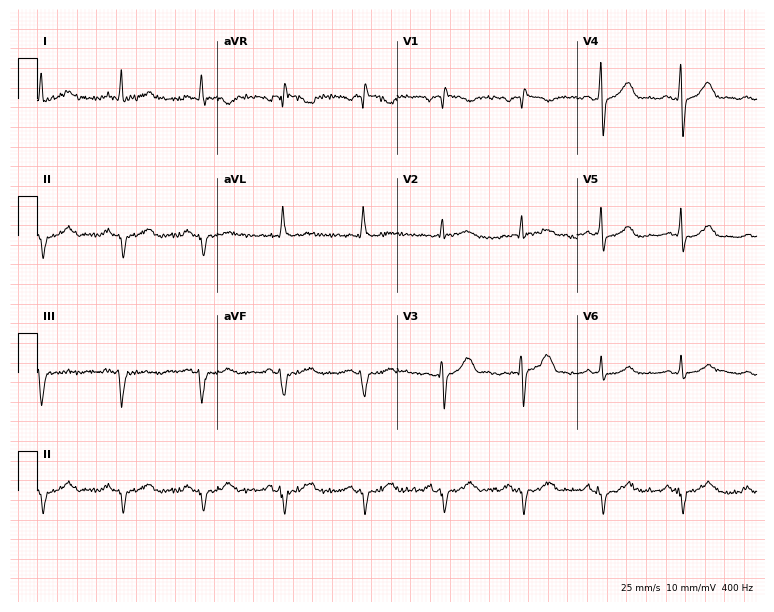
ECG (7.3-second recording at 400 Hz) — a male patient, 74 years old. Screened for six findings — first-degree AV block, right bundle branch block, left bundle branch block, sinus bradycardia, atrial fibrillation, sinus tachycardia — none is recorded. Other findings, if any, are not listed.